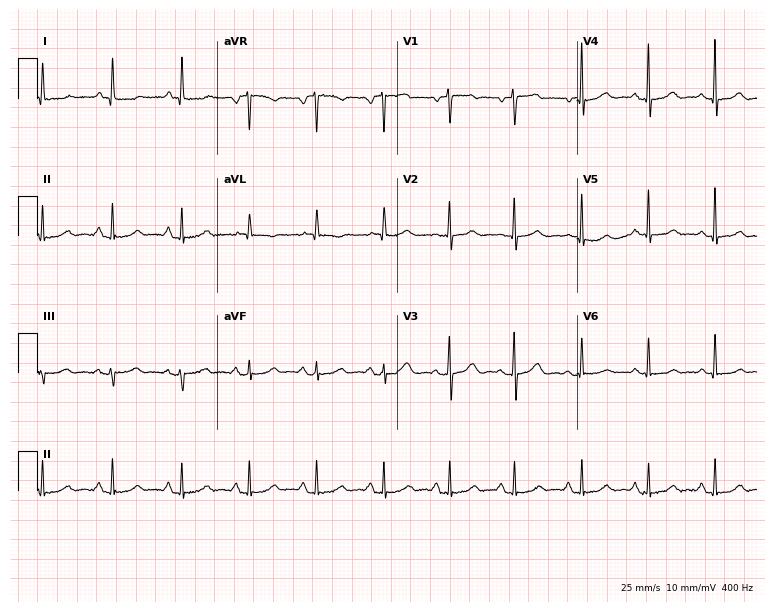
Electrocardiogram, a female patient, 65 years old. Of the six screened findings (first-degree AV block, right bundle branch block (RBBB), left bundle branch block (LBBB), sinus bradycardia, atrial fibrillation (AF), sinus tachycardia), none is recorded.